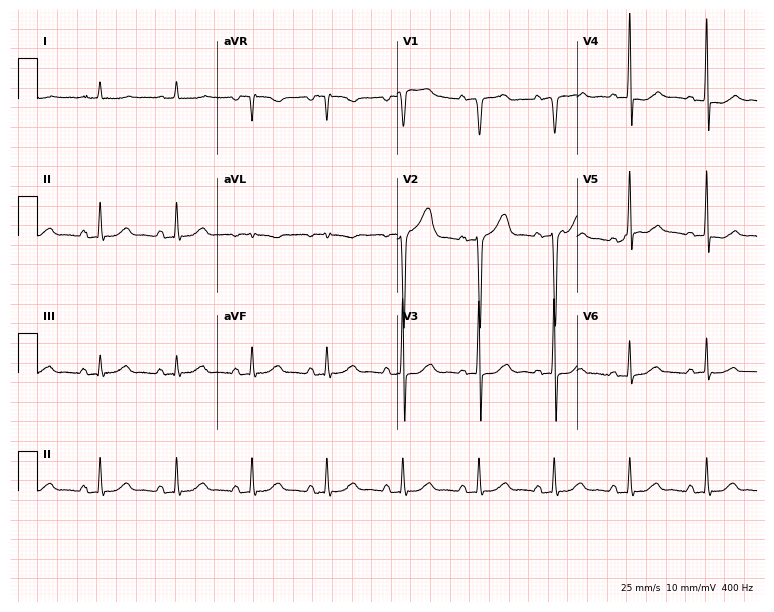
Electrocardiogram, a woman, 82 years old. Overall reading on record: normal ECG.